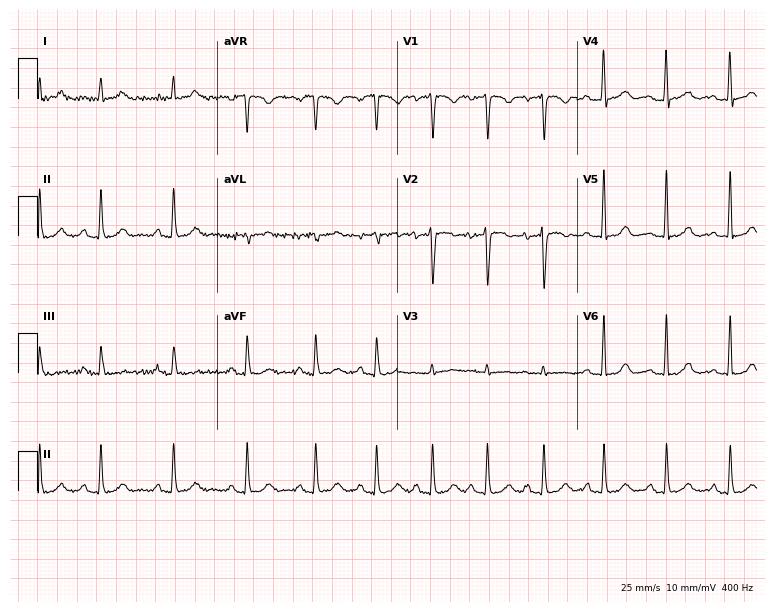
Standard 12-lead ECG recorded from a woman, 38 years old. Read as a normal ECG.